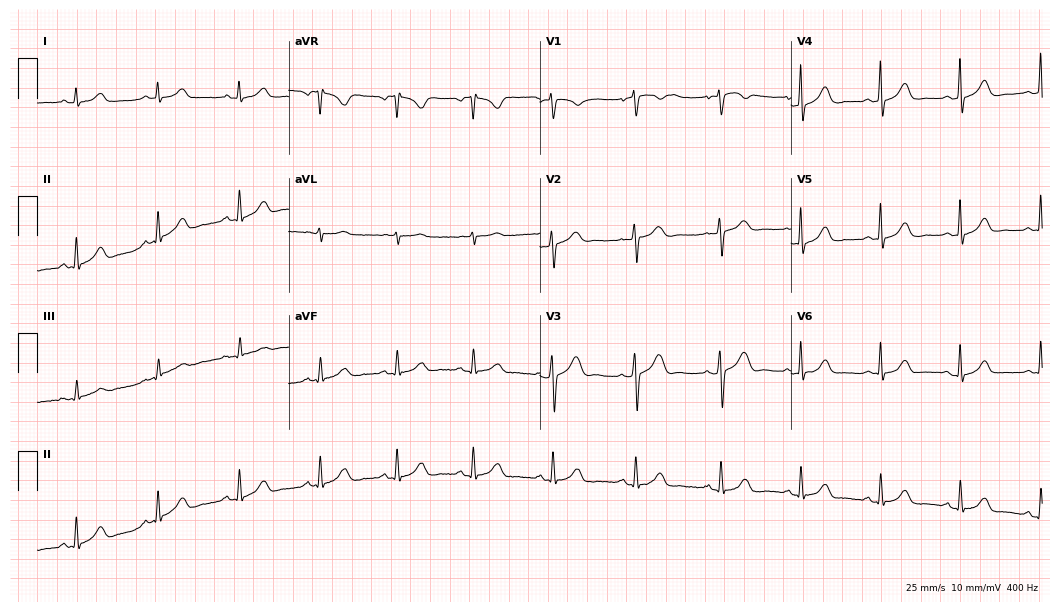
Resting 12-lead electrocardiogram. Patient: a 36-year-old female. Read as a normal ECG.